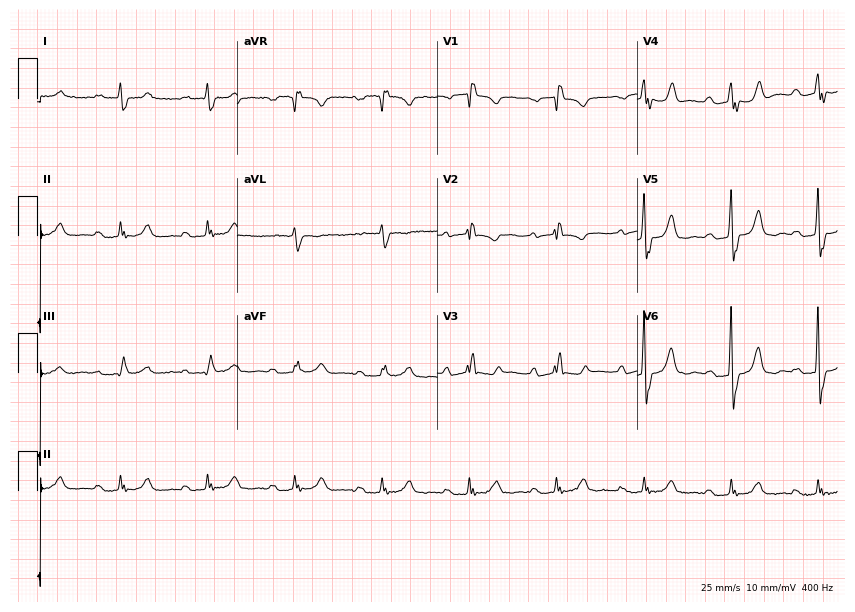
12-lead ECG from a 79-year-old woman (8.2-second recording at 400 Hz). No first-degree AV block, right bundle branch block, left bundle branch block, sinus bradycardia, atrial fibrillation or sinus tachycardia recorded for this tracing.